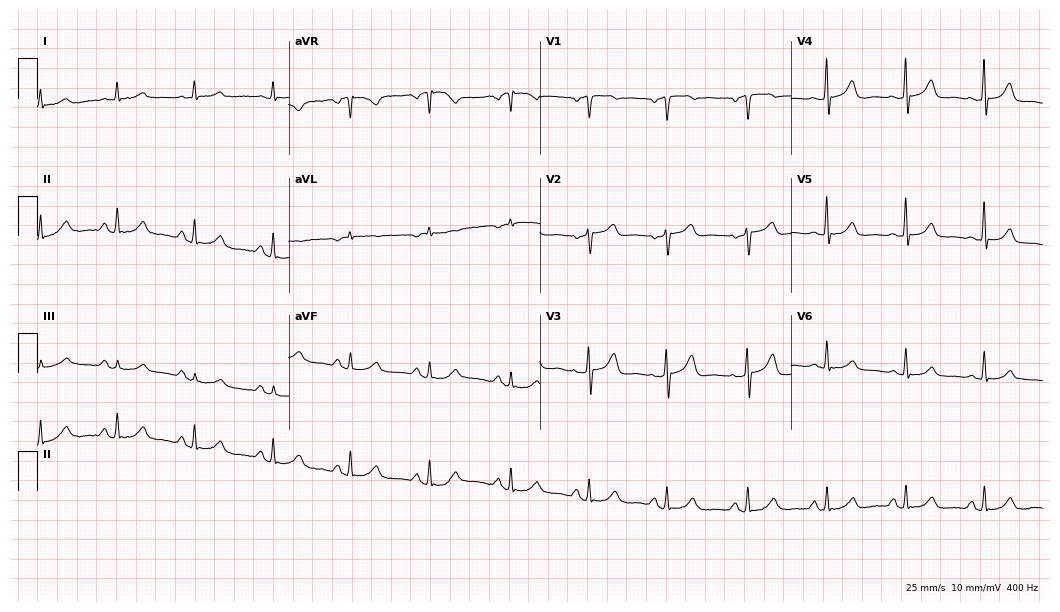
12-lead ECG (10.2-second recording at 400 Hz) from a woman, 71 years old. Labelled as a normal ECG.